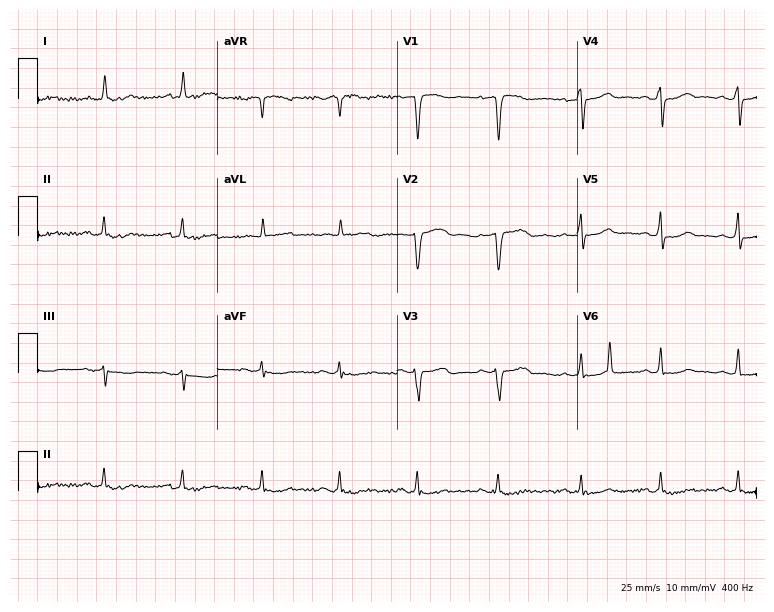
12-lead ECG from a female patient, 54 years old. Screened for six findings — first-degree AV block, right bundle branch block, left bundle branch block, sinus bradycardia, atrial fibrillation, sinus tachycardia — none is recorded.